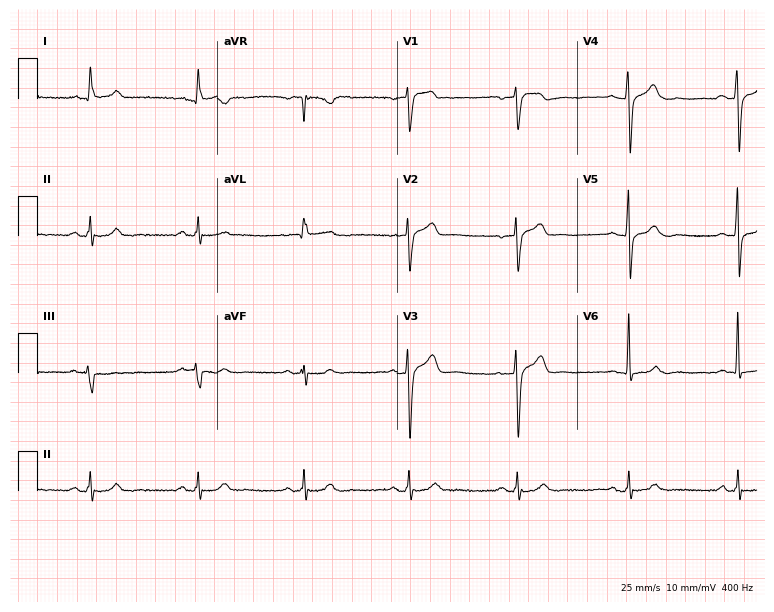
Electrocardiogram (7.3-second recording at 400 Hz), a male, 80 years old. Of the six screened findings (first-degree AV block, right bundle branch block (RBBB), left bundle branch block (LBBB), sinus bradycardia, atrial fibrillation (AF), sinus tachycardia), none is recorded. Findings outside these six are not listed.